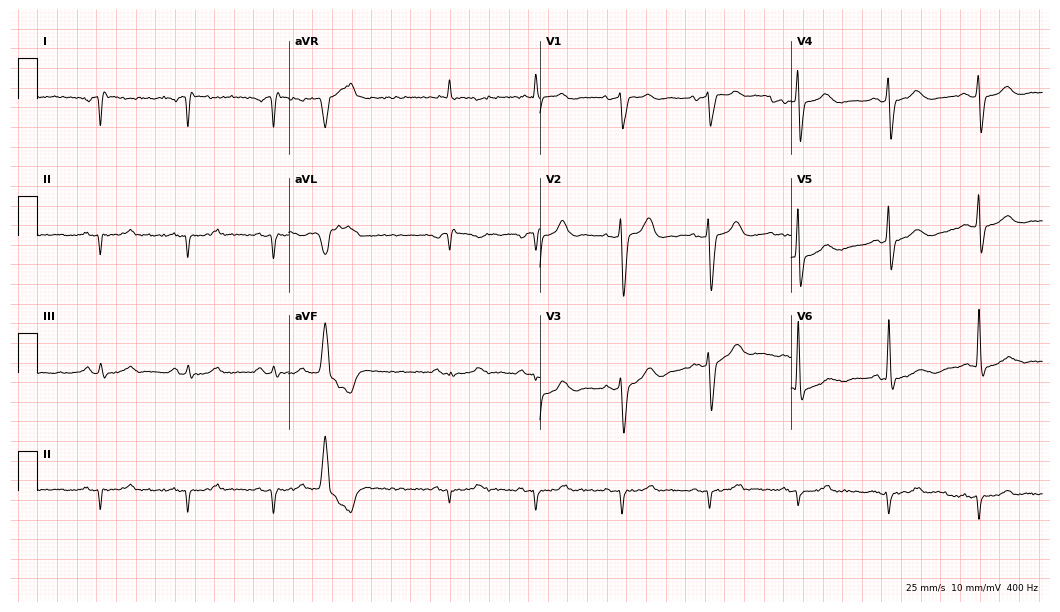
Resting 12-lead electrocardiogram. Patient: a male, 80 years old. None of these six findings is recorded: first-degree AV block, right bundle branch block, left bundle branch block, sinus bradycardia, atrial fibrillation, sinus tachycardia.